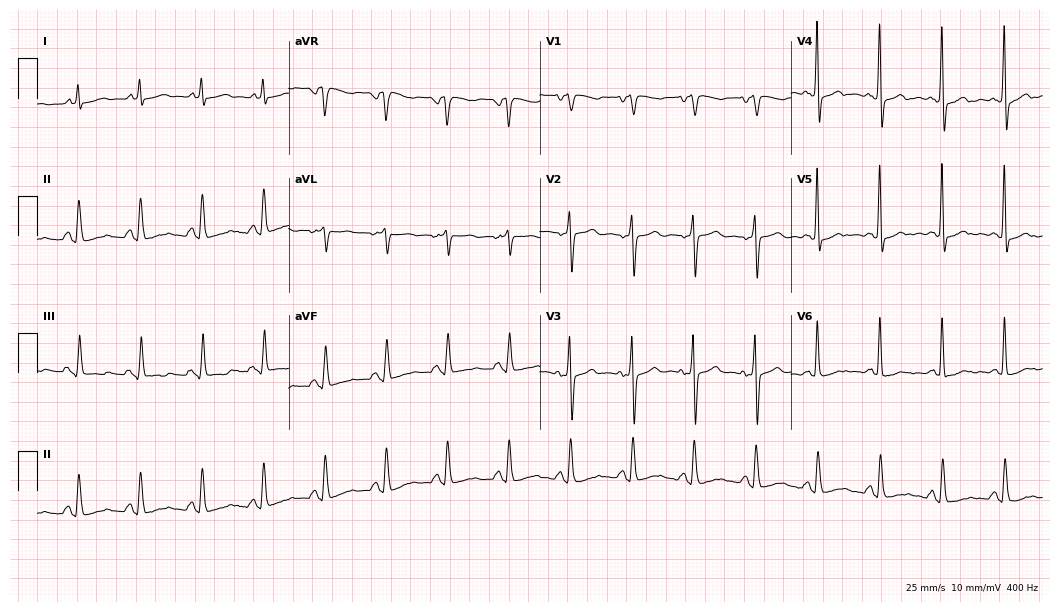
Standard 12-lead ECG recorded from a woman, 72 years old (10.2-second recording at 400 Hz). None of these six findings is recorded: first-degree AV block, right bundle branch block, left bundle branch block, sinus bradycardia, atrial fibrillation, sinus tachycardia. Other findings, if any, are not listed.